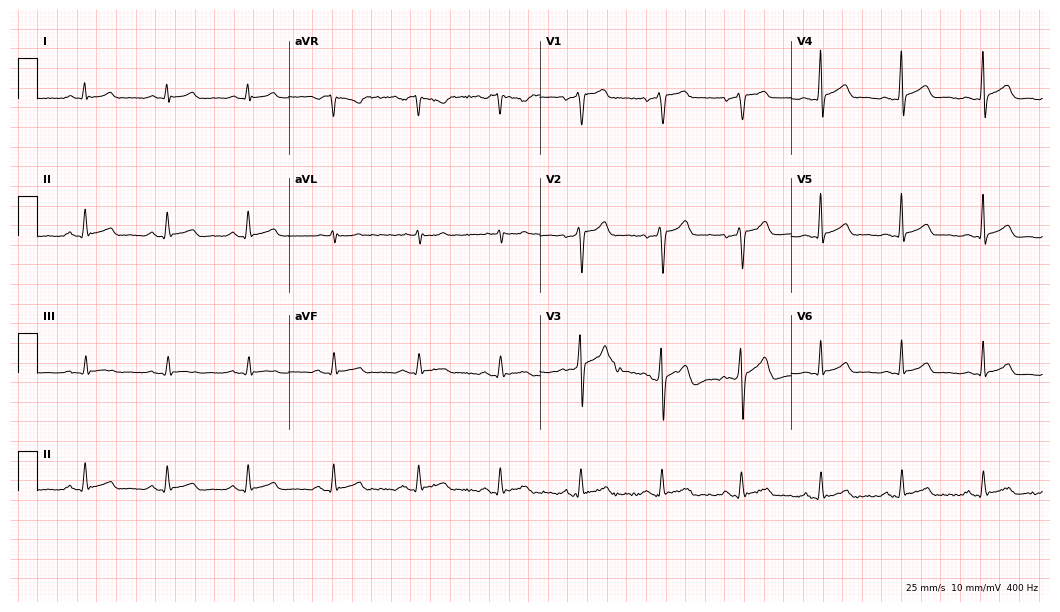
Electrocardiogram (10.2-second recording at 400 Hz), a male patient, 34 years old. Overall reading on record: normal ECG.